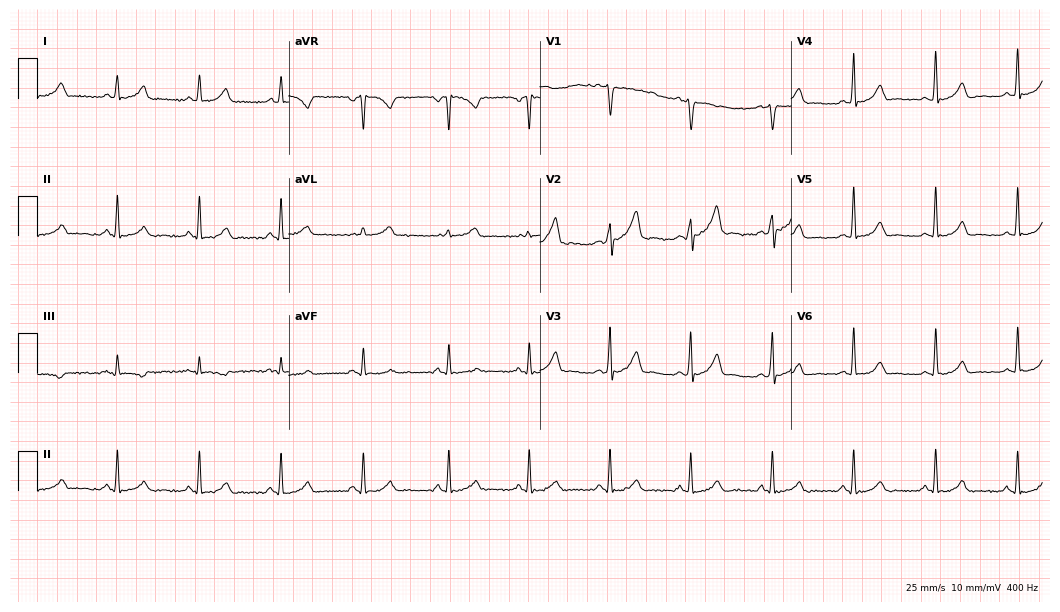
12-lead ECG from a male patient, 49 years old. Labelled as a normal ECG.